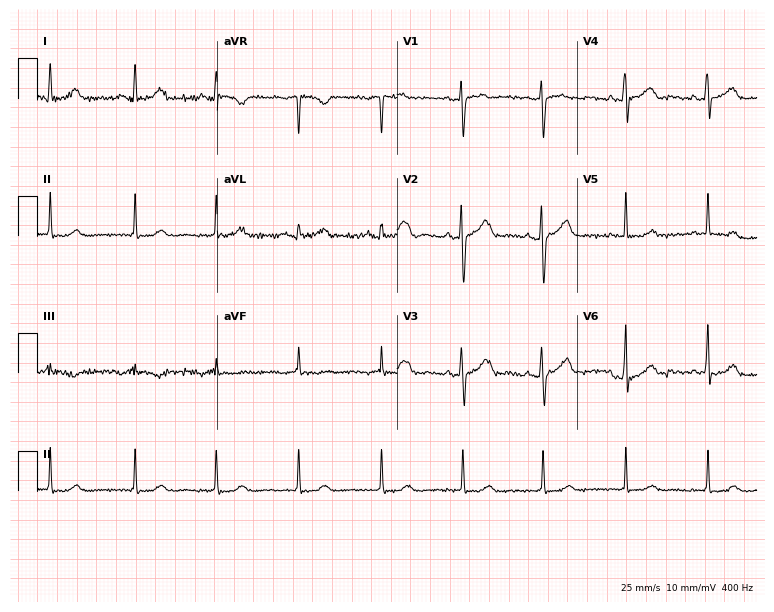
ECG — a 47-year-old female patient. Labelled as a normal ECG.